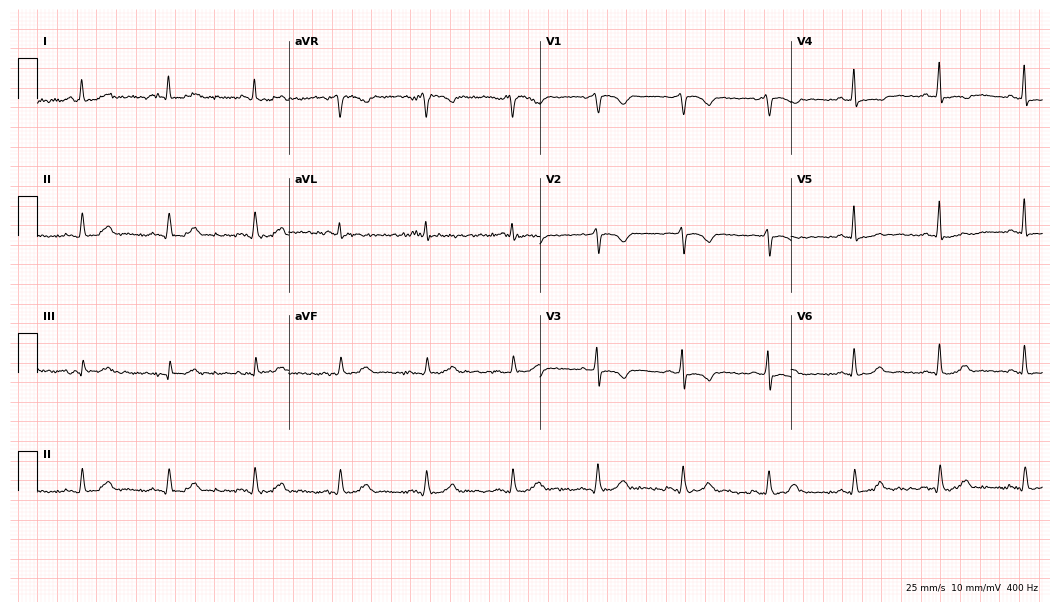
ECG (10.2-second recording at 400 Hz) — a 75-year-old male. Screened for six findings — first-degree AV block, right bundle branch block, left bundle branch block, sinus bradycardia, atrial fibrillation, sinus tachycardia — none is recorded.